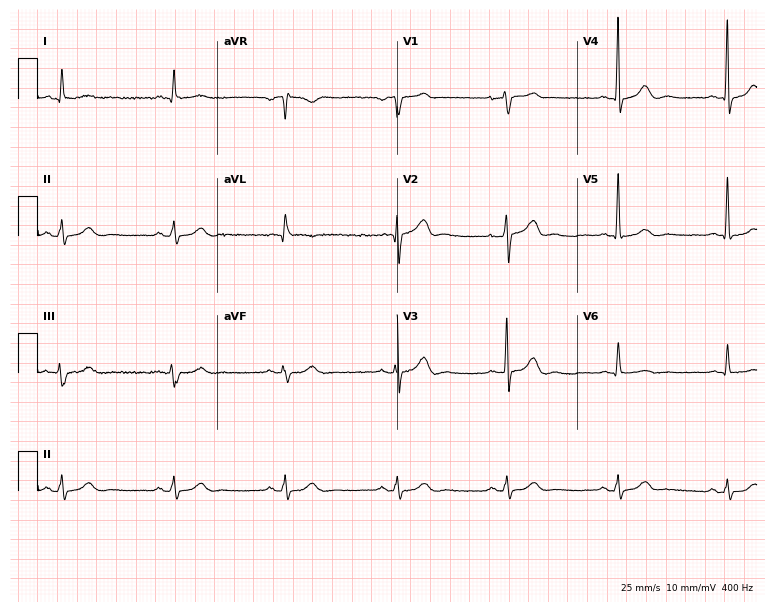
Standard 12-lead ECG recorded from a male patient, 81 years old. Read as a normal ECG.